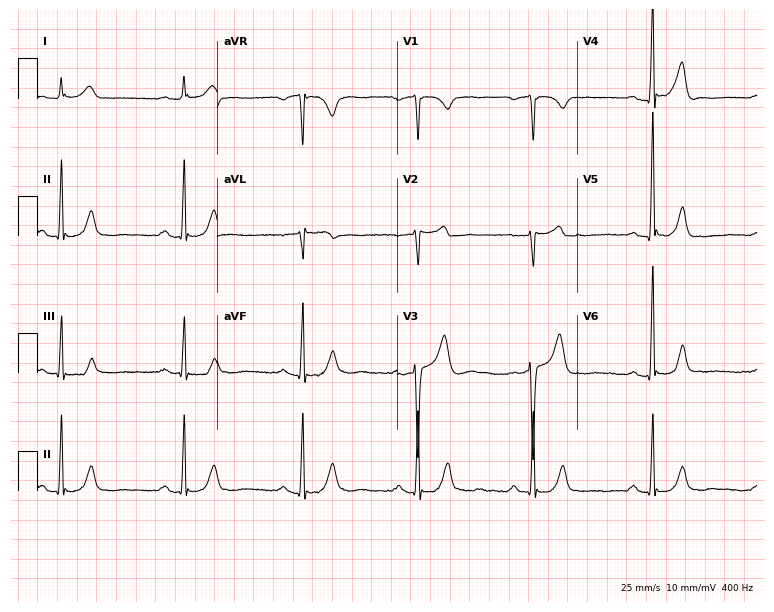
ECG (7.3-second recording at 400 Hz) — a man, 70 years old. Screened for six findings — first-degree AV block, right bundle branch block (RBBB), left bundle branch block (LBBB), sinus bradycardia, atrial fibrillation (AF), sinus tachycardia — none is recorded. Other findings, if any, are not listed.